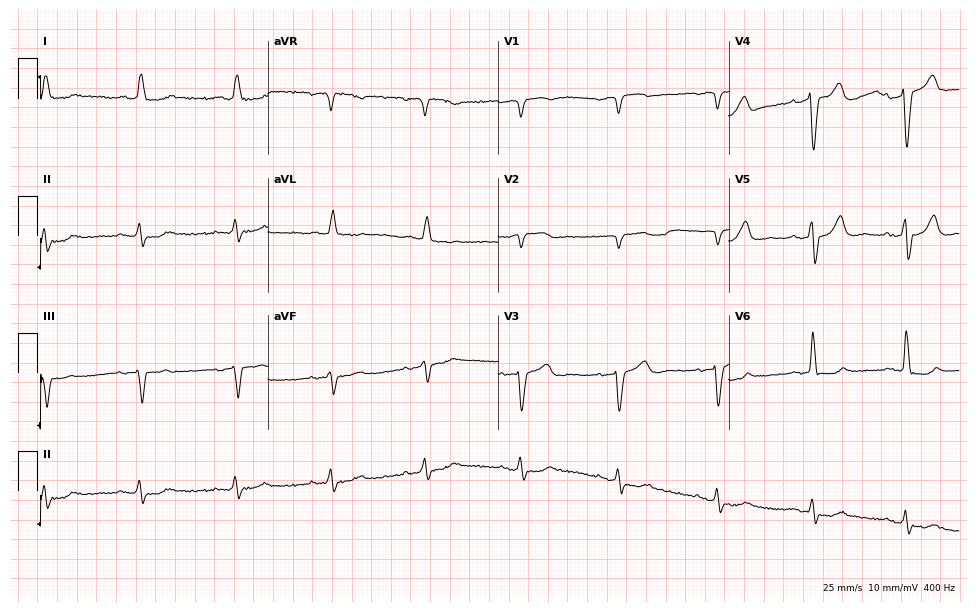
ECG — a 78-year-old male. Screened for six findings — first-degree AV block, right bundle branch block (RBBB), left bundle branch block (LBBB), sinus bradycardia, atrial fibrillation (AF), sinus tachycardia — none is recorded. Other findings, if any, are not listed.